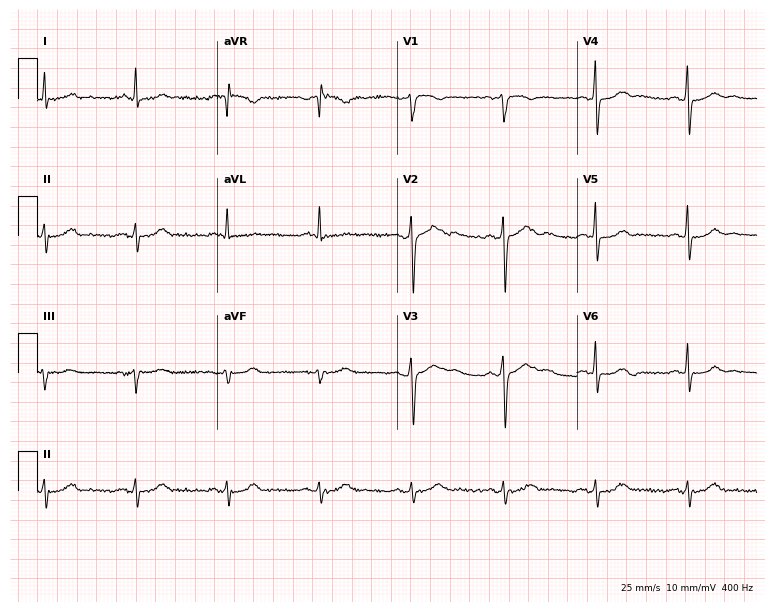
Electrocardiogram, a 47-year-old male. Of the six screened findings (first-degree AV block, right bundle branch block, left bundle branch block, sinus bradycardia, atrial fibrillation, sinus tachycardia), none is recorded. Only these six findings were labelled.